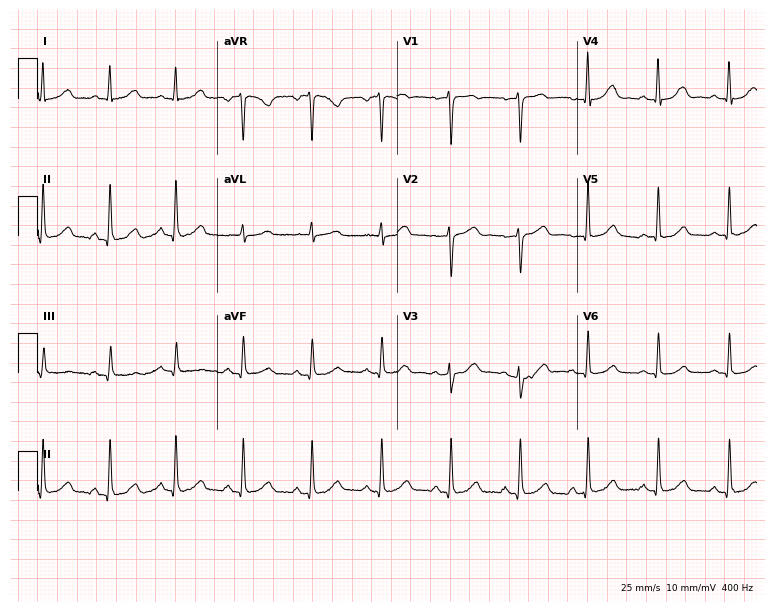
Standard 12-lead ECG recorded from a female, 50 years old. Read as a normal ECG.